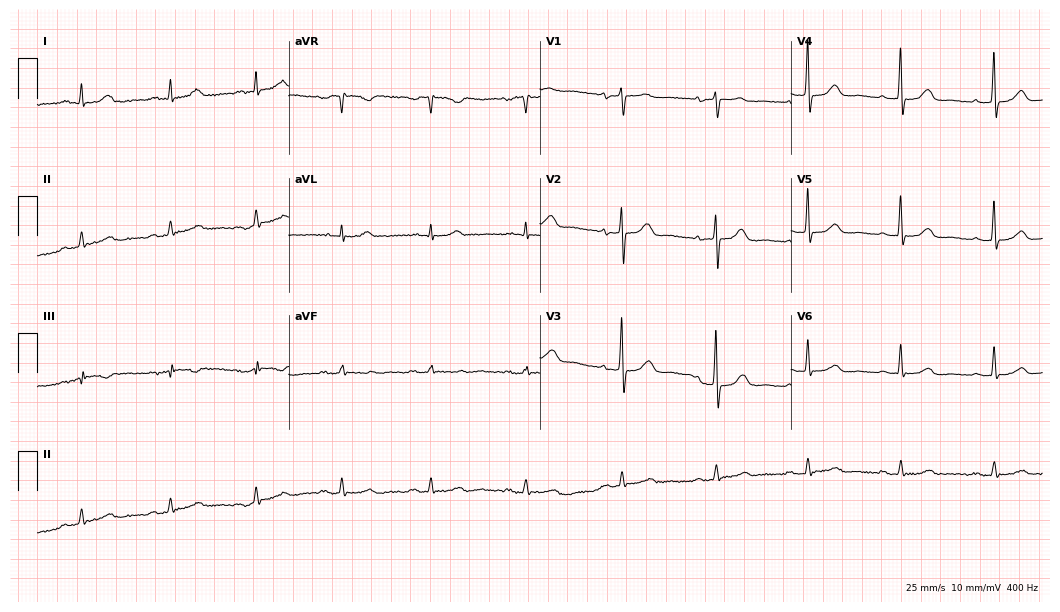
12-lead ECG (10.2-second recording at 400 Hz) from a female, 76 years old. Labelled as a normal ECG.